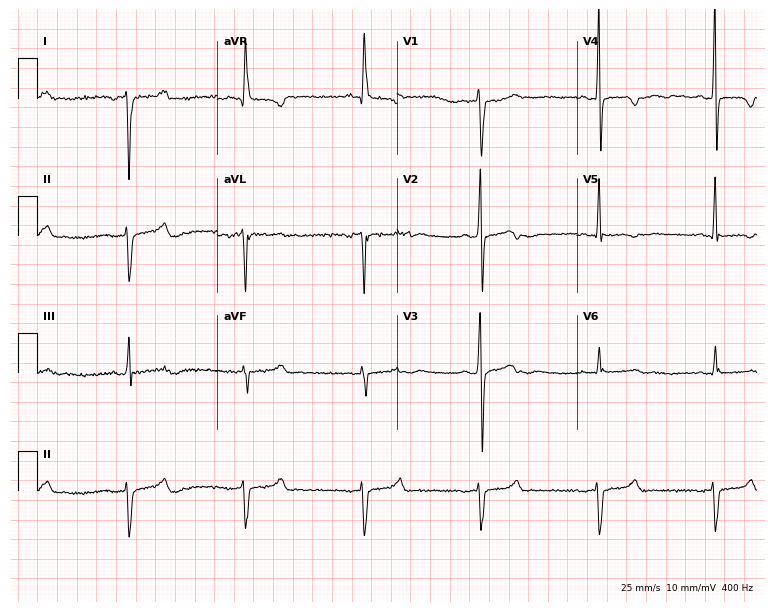
Electrocardiogram (7.3-second recording at 400 Hz), a 69-year-old female. Of the six screened findings (first-degree AV block, right bundle branch block, left bundle branch block, sinus bradycardia, atrial fibrillation, sinus tachycardia), none is recorded.